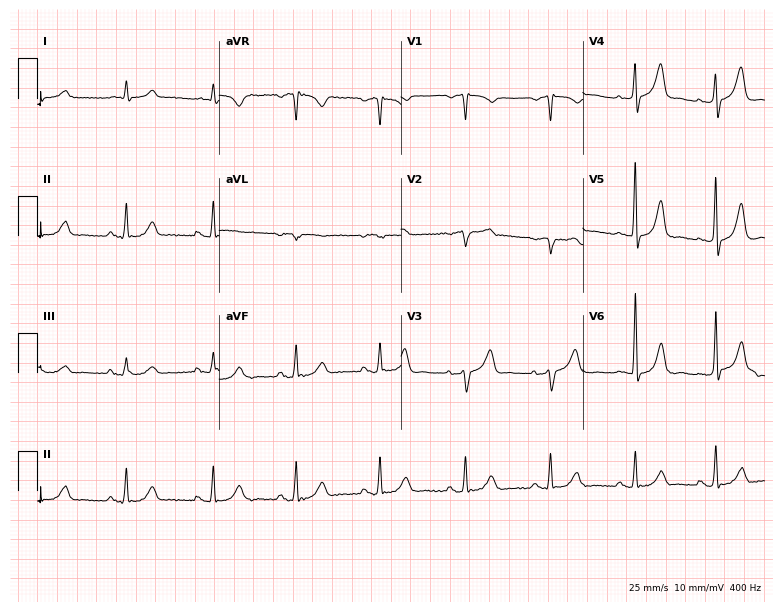
Resting 12-lead electrocardiogram. Patient: a male, 68 years old. Read as a normal ECG.